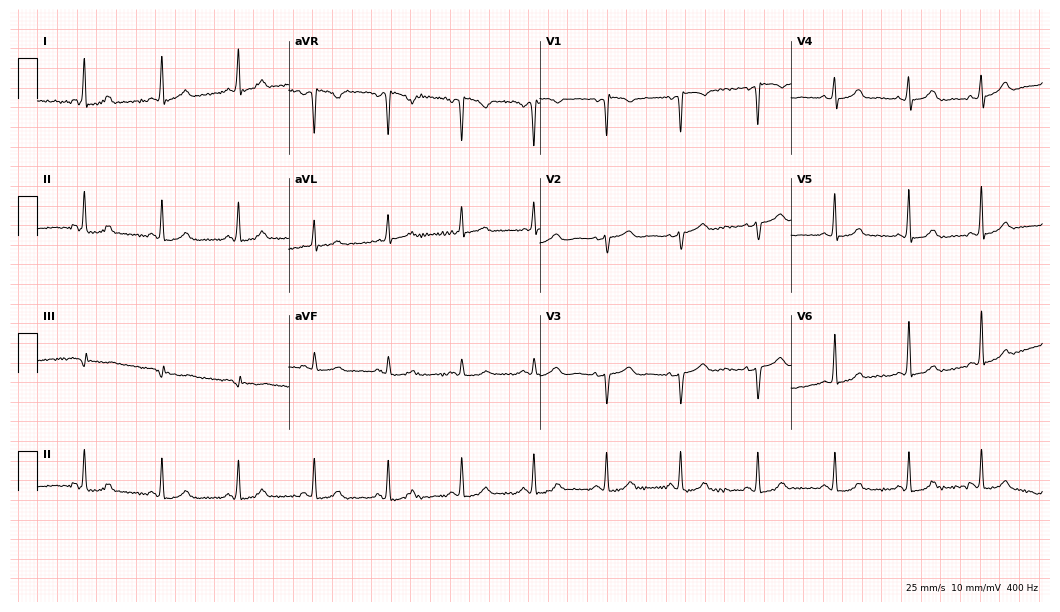
12-lead ECG from a 47-year-old female (10.2-second recording at 400 Hz). Recorded interpretation: within normal limits.